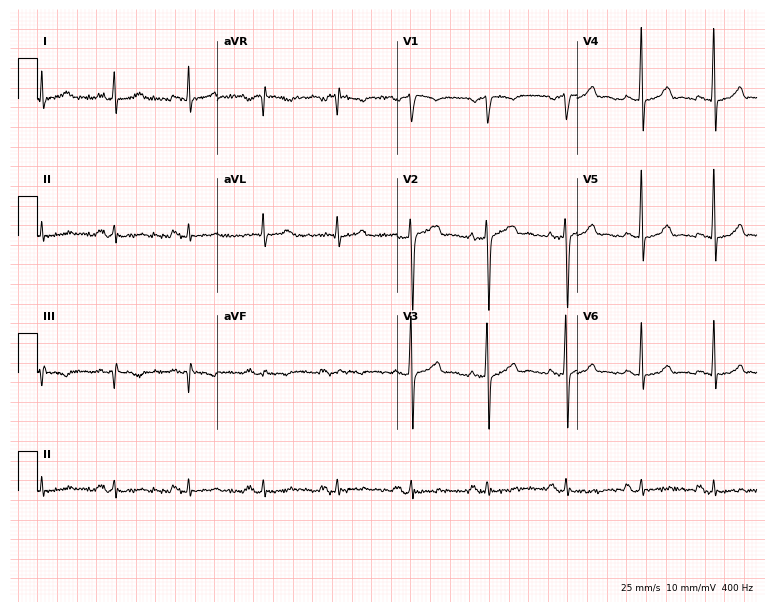
12-lead ECG from a male, 48 years old. Recorded interpretation: within normal limits.